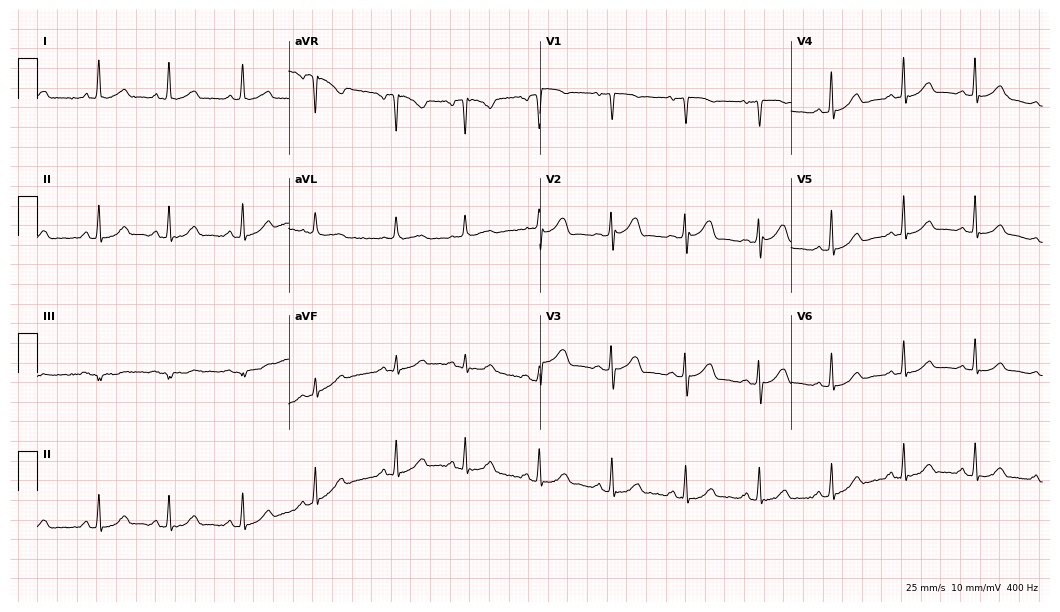
ECG — a 76-year-old woman. Labelled as a normal ECG.